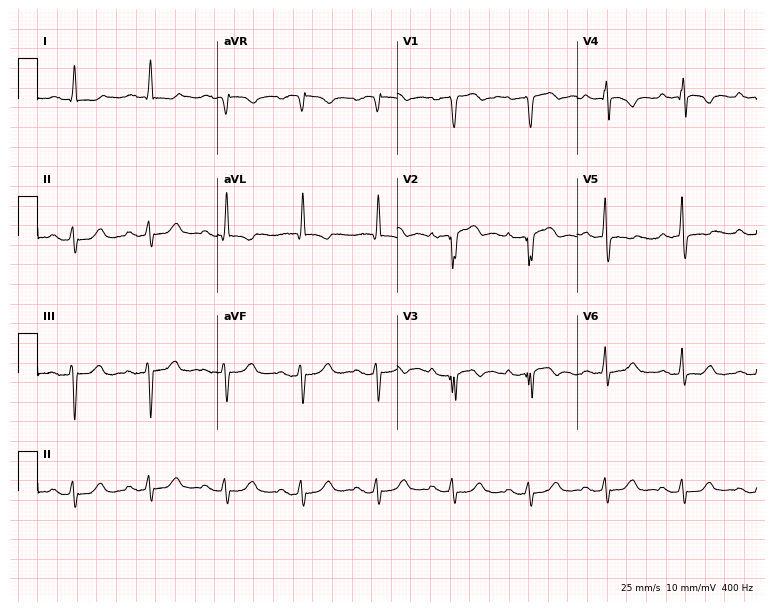
Standard 12-lead ECG recorded from a male, 82 years old (7.3-second recording at 400 Hz). None of these six findings is recorded: first-degree AV block, right bundle branch block, left bundle branch block, sinus bradycardia, atrial fibrillation, sinus tachycardia.